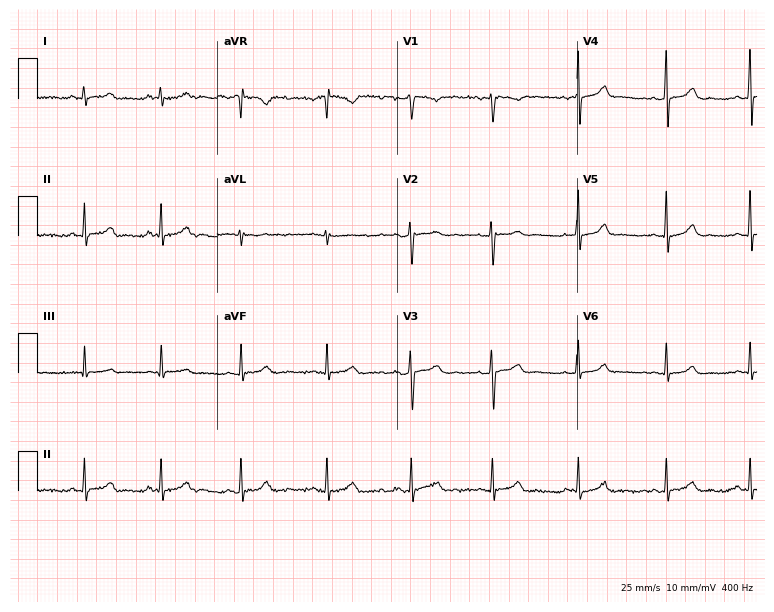
Resting 12-lead electrocardiogram (7.3-second recording at 400 Hz). Patient: a 26-year-old woman. Read as a normal ECG.